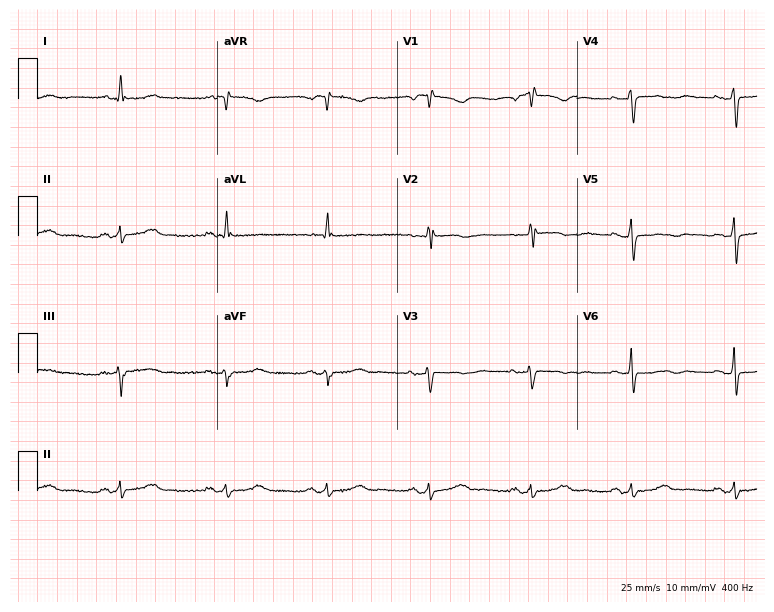
Resting 12-lead electrocardiogram (7.3-second recording at 400 Hz). Patient: a female, 79 years old. None of these six findings is recorded: first-degree AV block, right bundle branch block (RBBB), left bundle branch block (LBBB), sinus bradycardia, atrial fibrillation (AF), sinus tachycardia. Other findings, if any, are not listed.